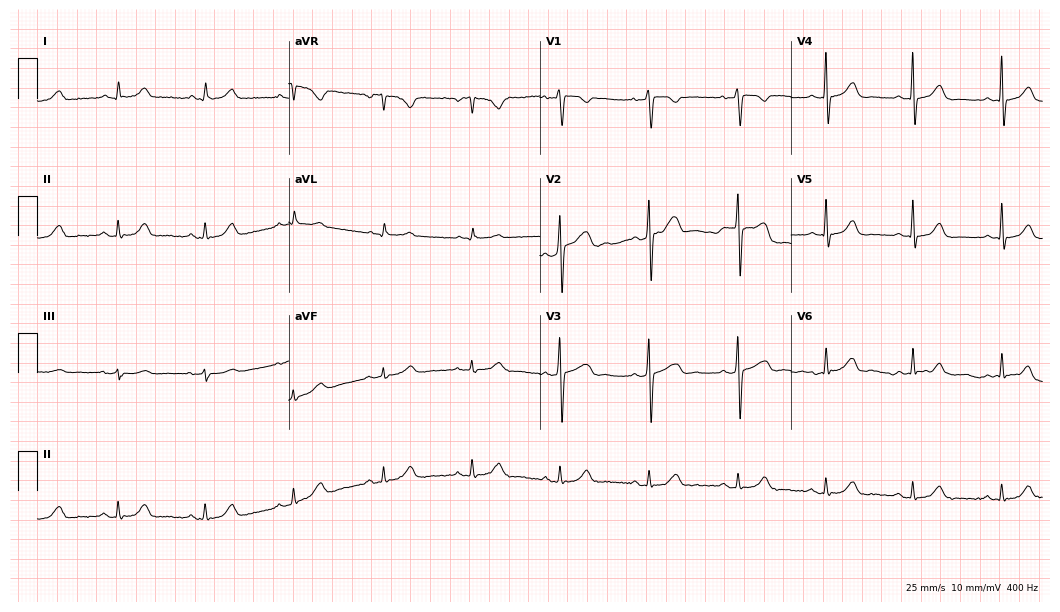
12-lead ECG from a female, 57 years old. Recorded interpretation: within normal limits.